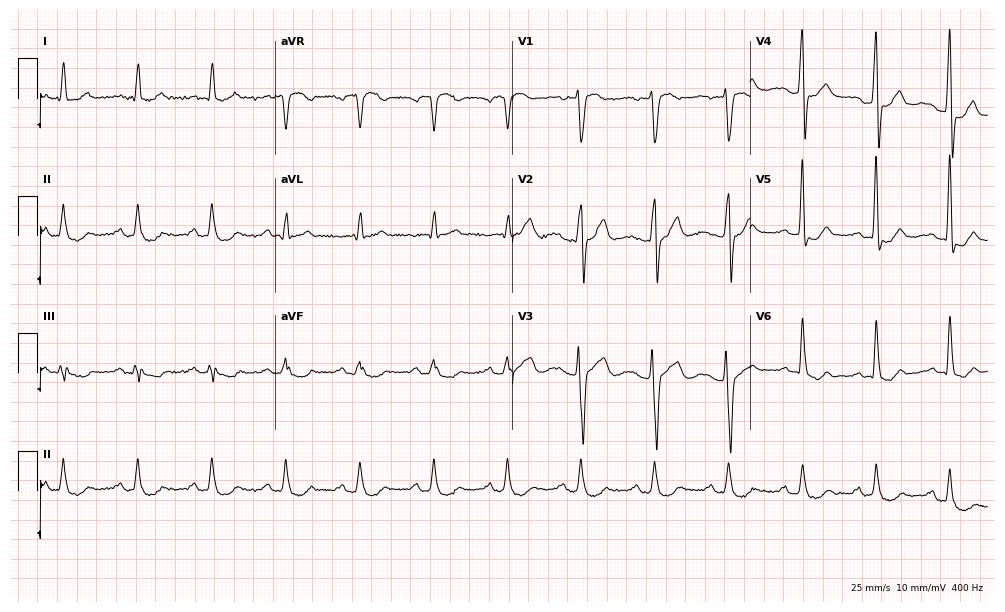
Resting 12-lead electrocardiogram. Patient: a woman, 67 years old. None of these six findings is recorded: first-degree AV block, right bundle branch block, left bundle branch block, sinus bradycardia, atrial fibrillation, sinus tachycardia. Other findings, if any, are not listed.